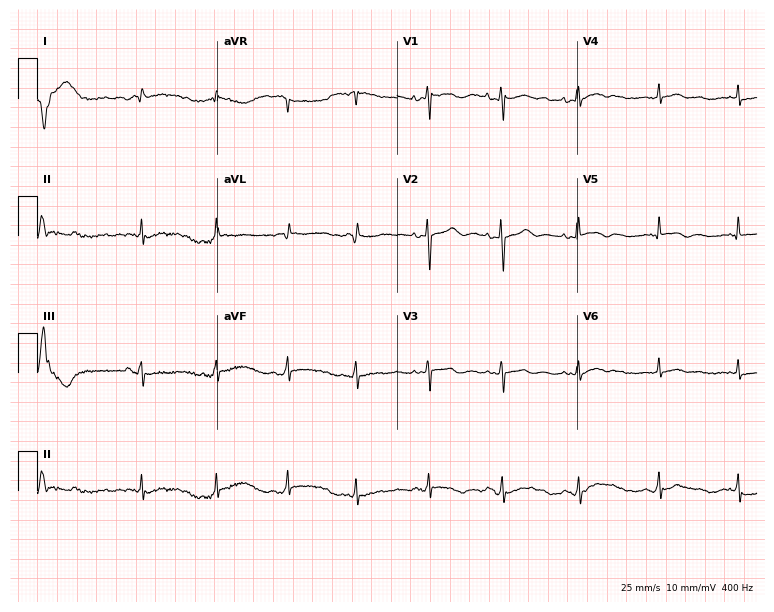
Resting 12-lead electrocardiogram (7.3-second recording at 400 Hz). Patient: a 69-year-old female. None of these six findings is recorded: first-degree AV block, right bundle branch block, left bundle branch block, sinus bradycardia, atrial fibrillation, sinus tachycardia. Findings outside these six are not listed.